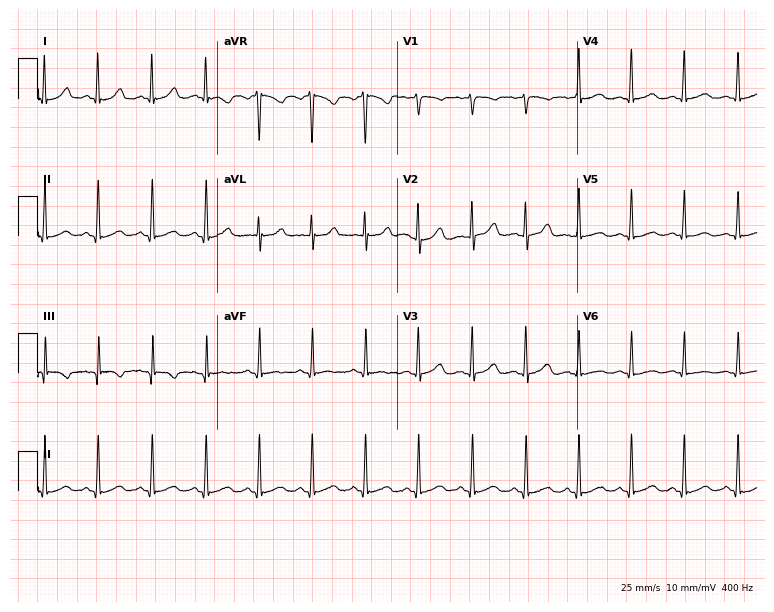
12-lead ECG from a woman, 26 years old. Findings include sinus tachycardia (a sinus rate of 100 beats per minute or more).